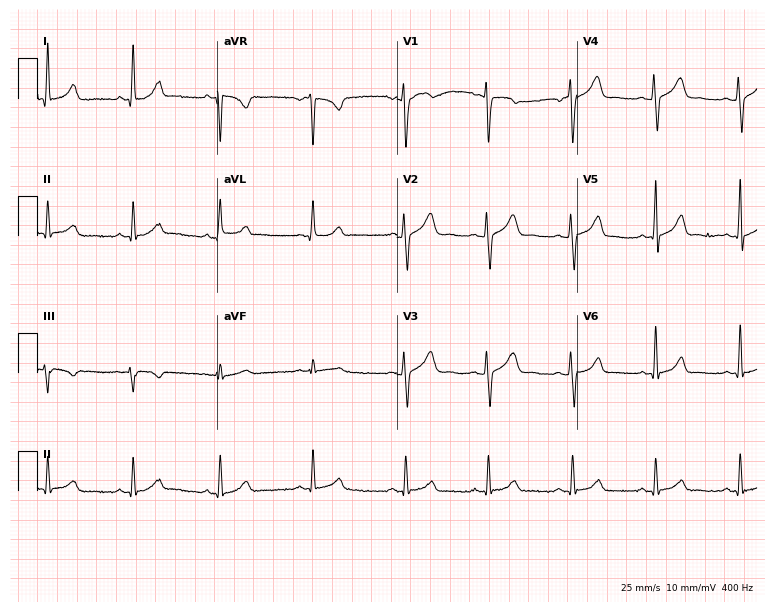
Electrocardiogram, a 26-year-old female patient. Of the six screened findings (first-degree AV block, right bundle branch block, left bundle branch block, sinus bradycardia, atrial fibrillation, sinus tachycardia), none is recorded. Findings outside these six are not listed.